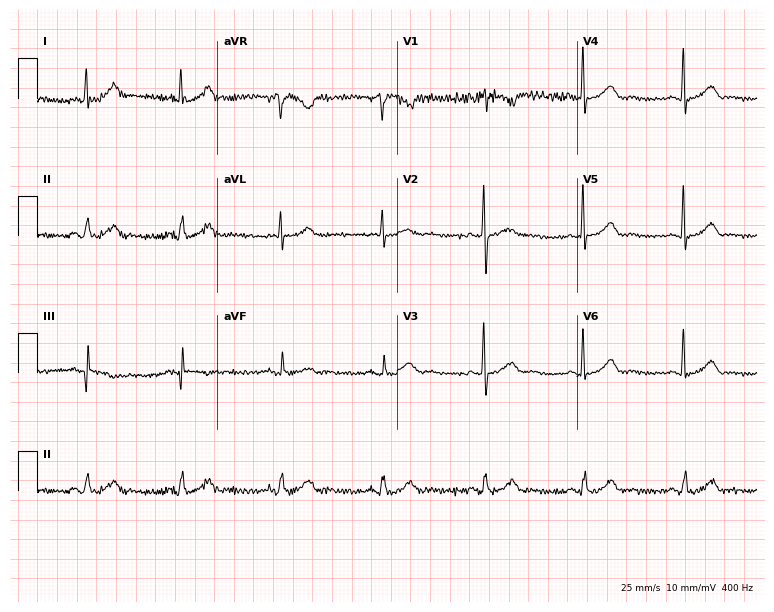
Electrocardiogram (7.3-second recording at 400 Hz), a female, 57 years old. Of the six screened findings (first-degree AV block, right bundle branch block (RBBB), left bundle branch block (LBBB), sinus bradycardia, atrial fibrillation (AF), sinus tachycardia), none is recorded.